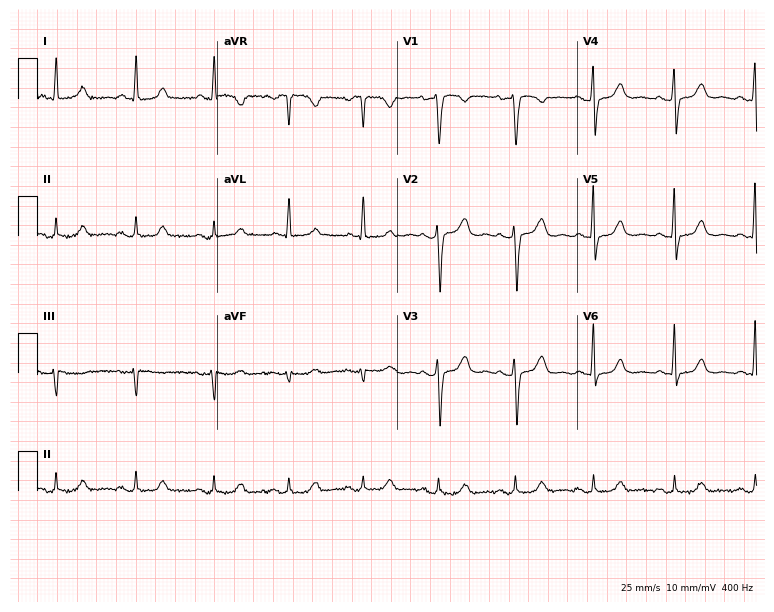
Resting 12-lead electrocardiogram (7.3-second recording at 400 Hz). Patient: a 55-year-old female. Read as a normal ECG.